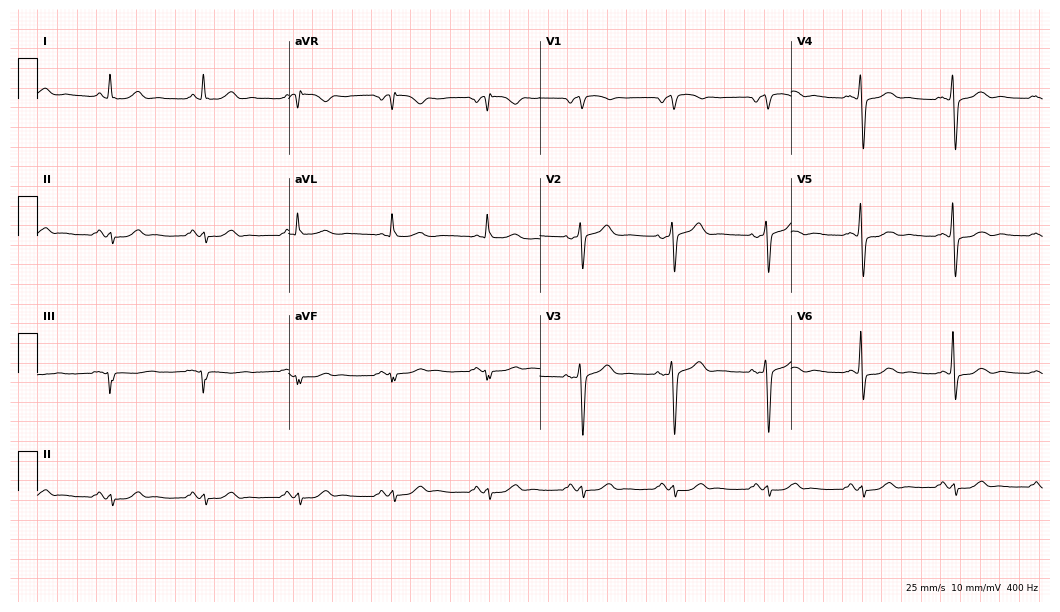
Resting 12-lead electrocardiogram (10.2-second recording at 400 Hz). Patient: a 69-year-old man. None of these six findings is recorded: first-degree AV block, right bundle branch block, left bundle branch block, sinus bradycardia, atrial fibrillation, sinus tachycardia. Findings outside these six are not listed.